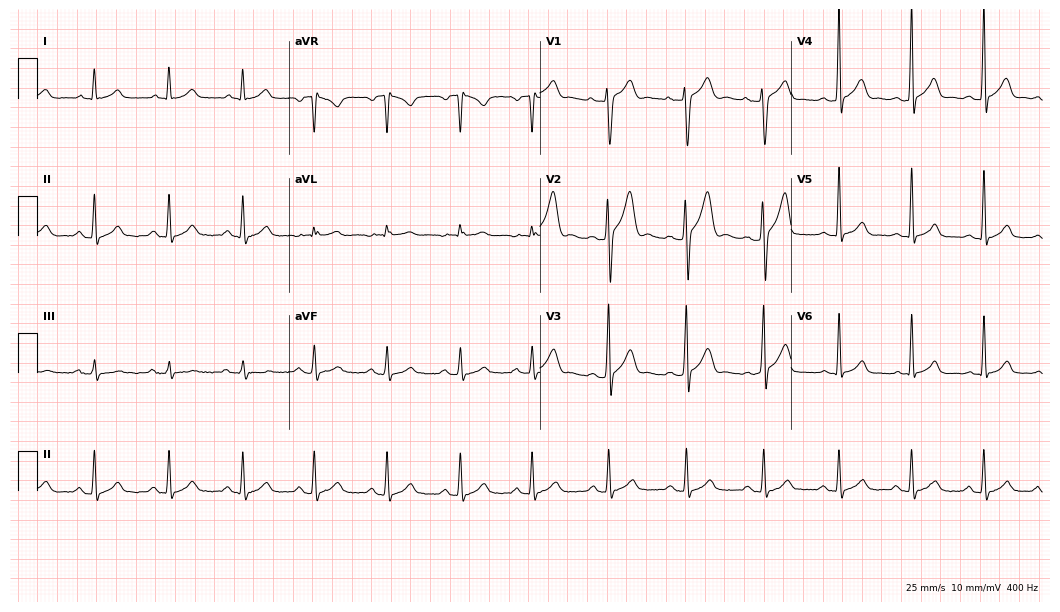
Standard 12-lead ECG recorded from a male patient, 22 years old (10.2-second recording at 400 Hz). Read as a normal ECG.